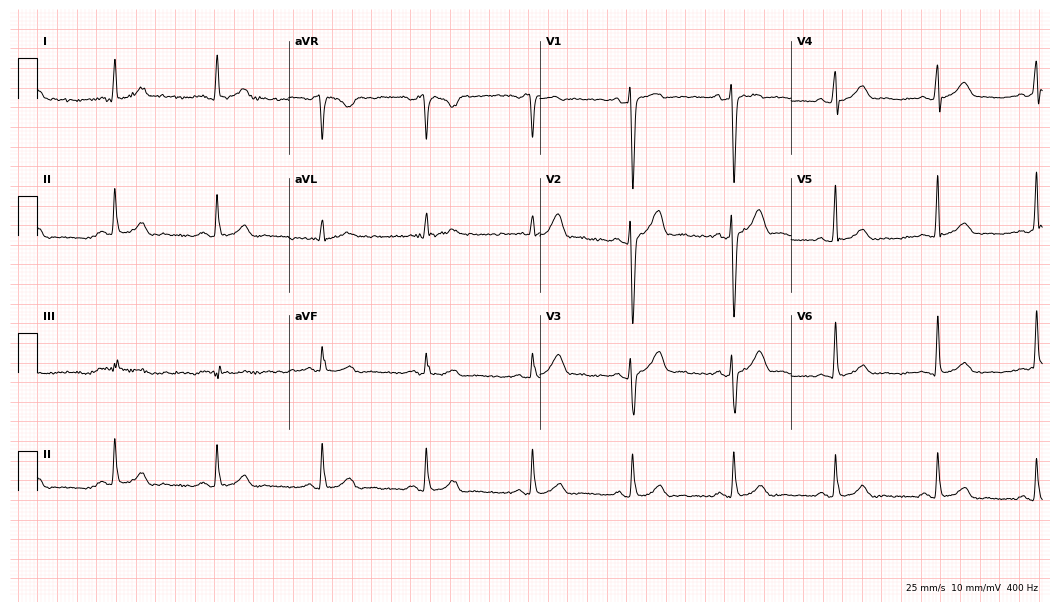
Electrocardiogram (10.2-second recording at 400 Hz), a male, 38 years old. Of the six screened findings (first-degree AV block, right bundle branch block, left bundle branch block, sinus bradycardia, atrial fibrillation, sinus tachycardia), none is recorded.